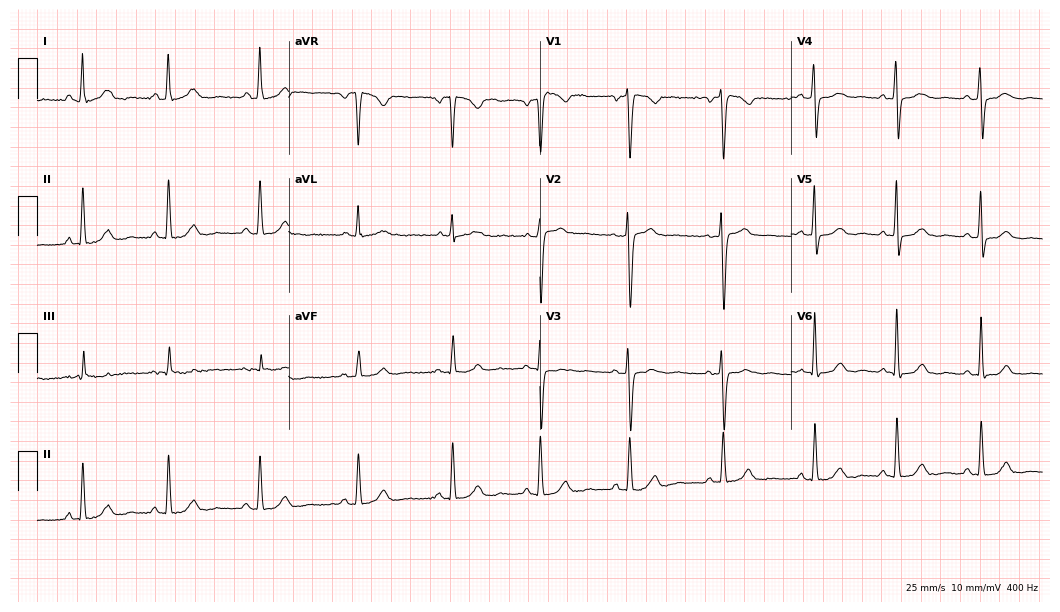
12-lead ECG from a female, 28 years old. Recorded interpretation: within normal limits.